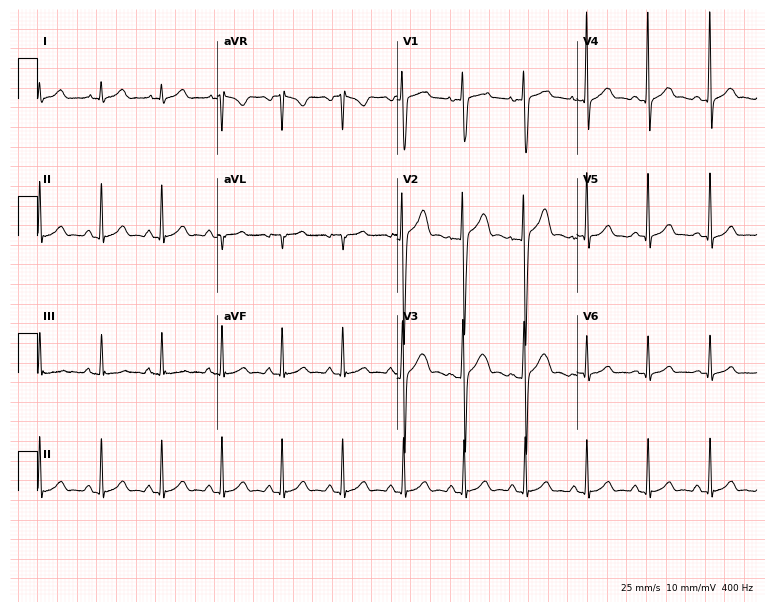
Standard 12-lead ECG recorded from a male, 18 years old (7.3-second recording at 400 Hz). Read as a normal ECG.